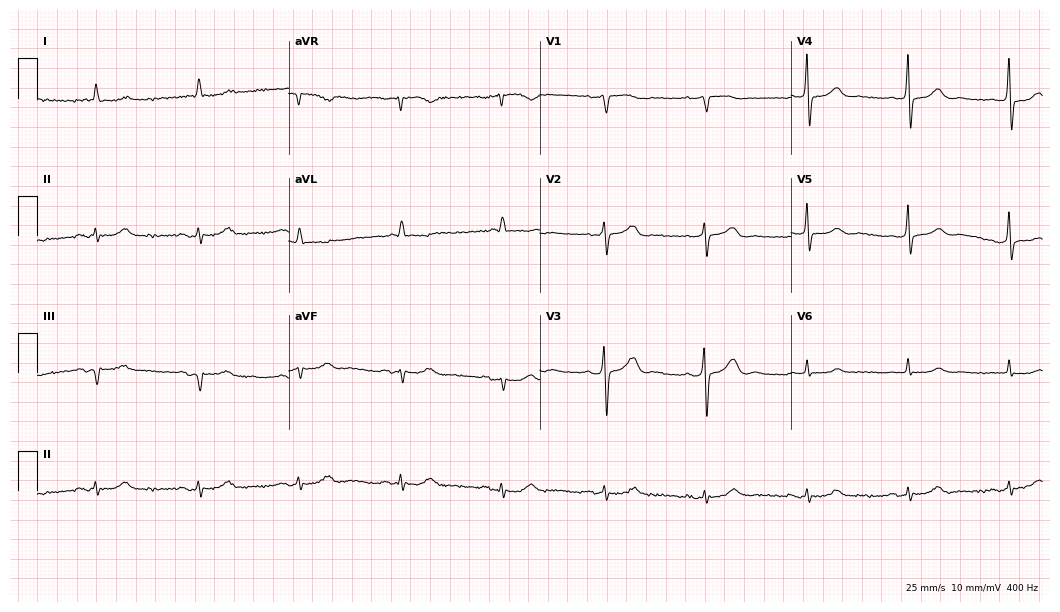
12-lead ECG from a woman, 87 years old. No first-degree AV block, right bundle branch block, left bundle branch block, sinus bradycardia, atrial fibrillation or sinus tachycardia recorded for this tracing. Only these six findings were labelled.